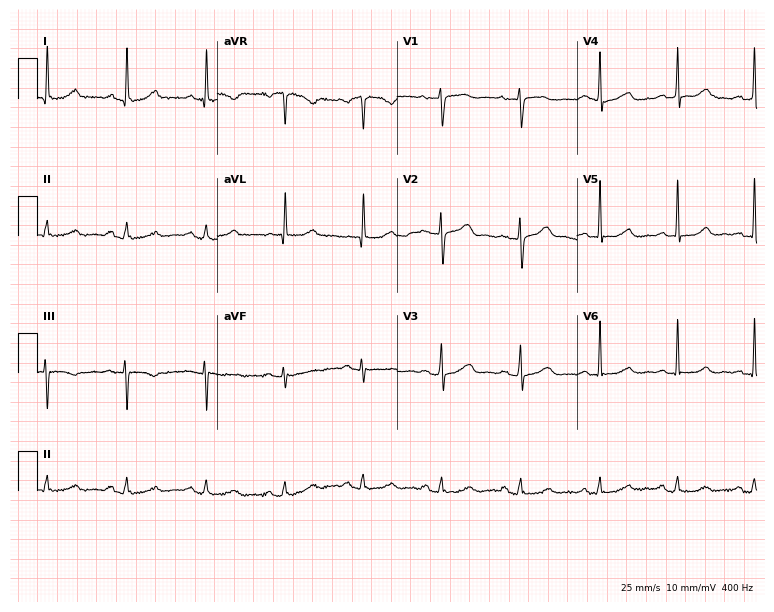
Electrocardiogram (7.3-second recording at 400 Hz), a 62-year-old female. Of the six screened findings (first-degree AV block, right bundle branch block (RBBB), left bundle branch block (LBBB), sinus bradycardia, atrial fibrillation (AF), sinus tachycardia), none is recorded.